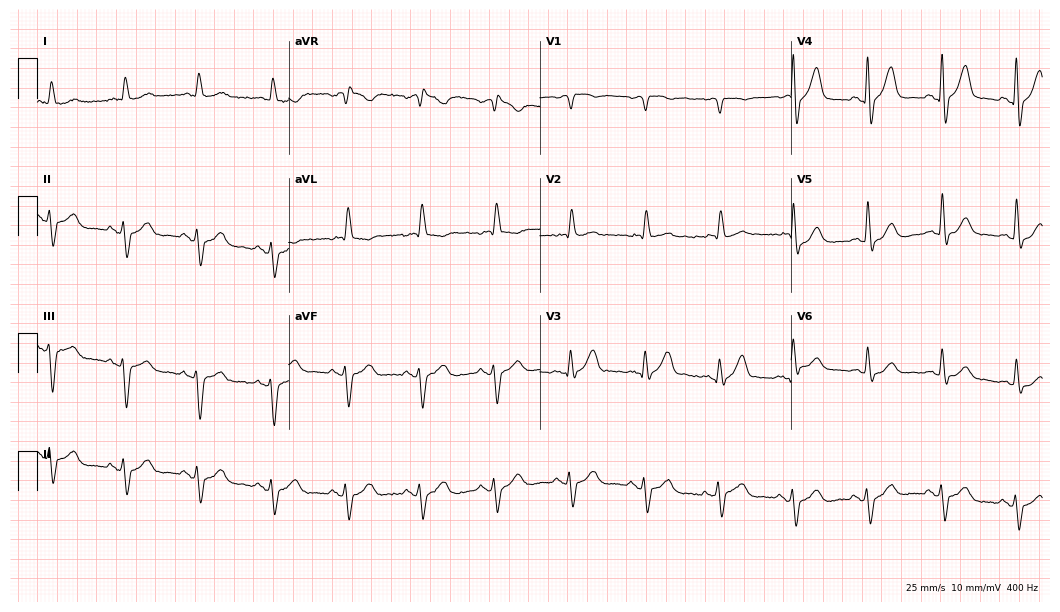
Electrocardiogram, an 85-year-old male patient. Interpretation includes right bundle branch block.